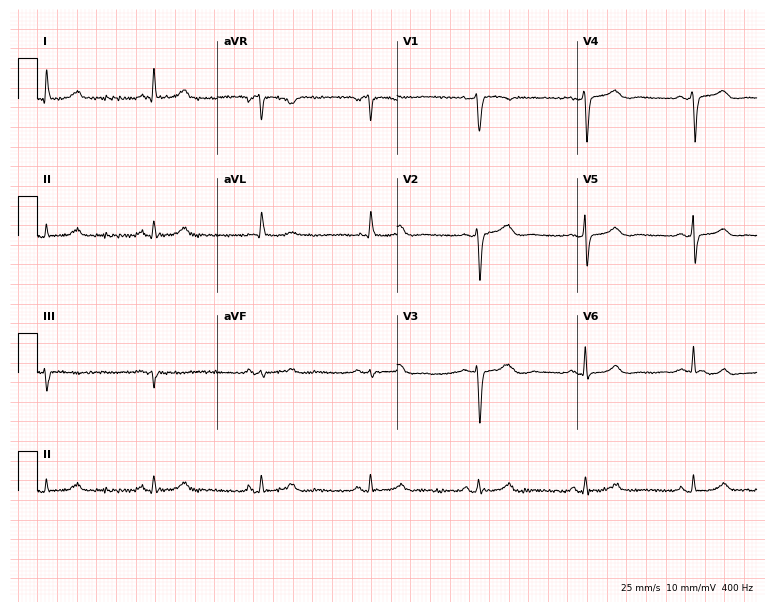
Electrocardiogram, a female patient, 66 years old. Of the six screened findings (first-degree AV block, right bundle branch block, left bundle branch block, sinus bradycardia, atrial fibrillation, sinus tachycardia), none is recorded. Findings outside these six are not listed.